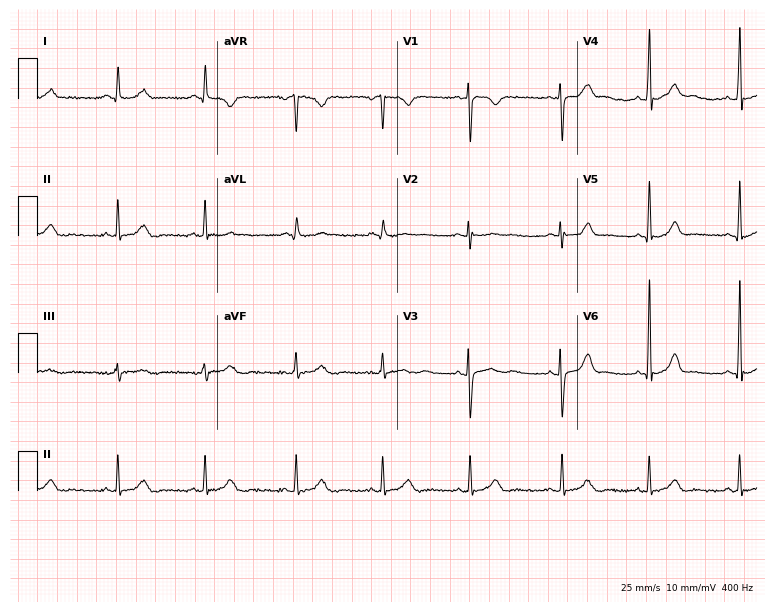
12-lead ECG from a woman, 40 years old (7.3-second recording at 400 Hz). Recorded interpretation: within normal limits.